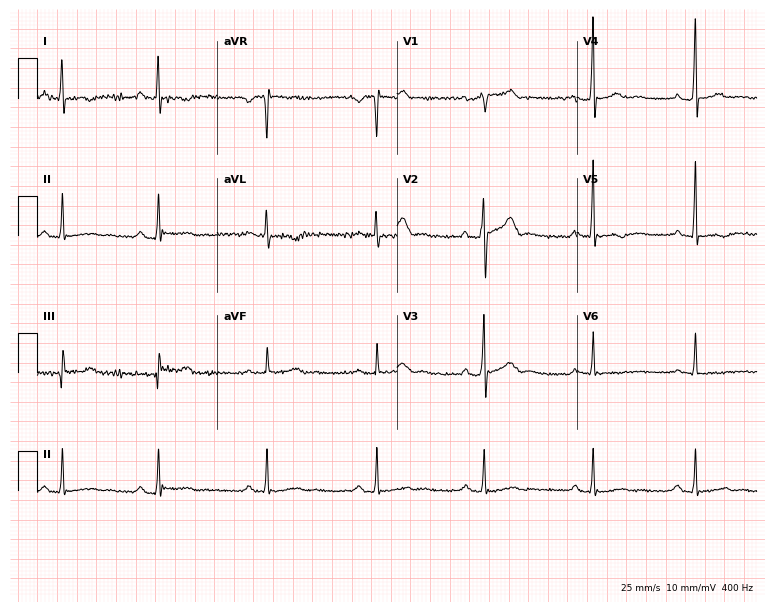
ECG (7.3-second recording at 400 Hz) — a man, 28 years old. Screened for six findings — first-degree AV block, right bundle branch block (RBBB), left bundle branch block (LBBB), sinus bradycardia, atrial fibrillation (AF), sinus tachycardia — none is recorded. Findings outside these six are not listed.